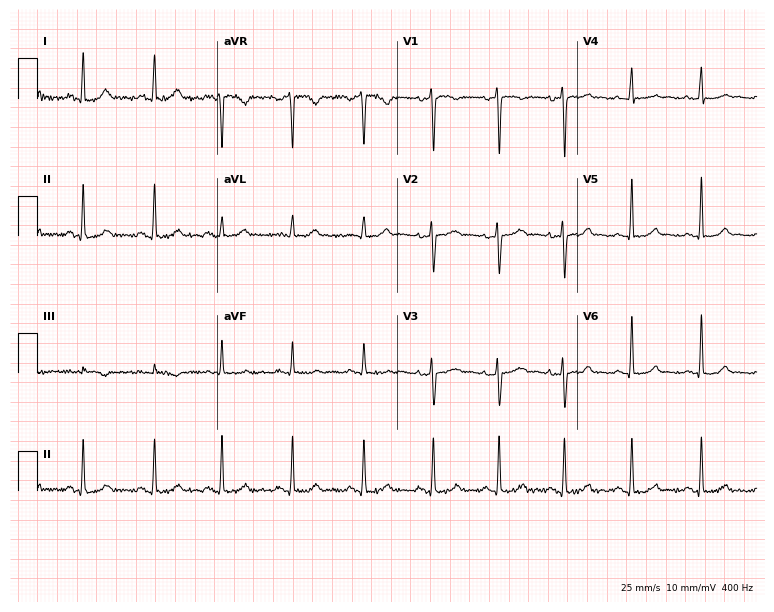
Standard 12-lead ECG recorded from a woman, 27 years old. Read as a normal ECG.